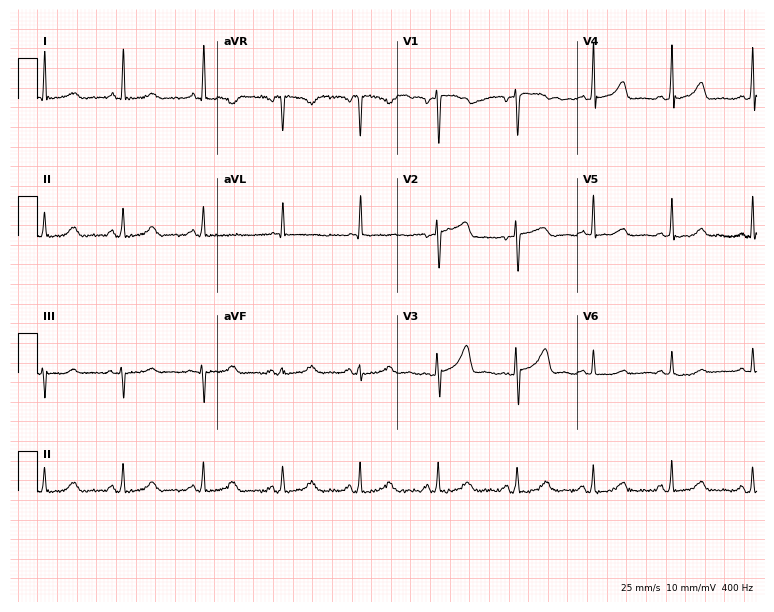
Standard 12-lead ECG recorded from a woman, 40 years old (7.3-second recording at 400 Hz). Read as a normal ECG.